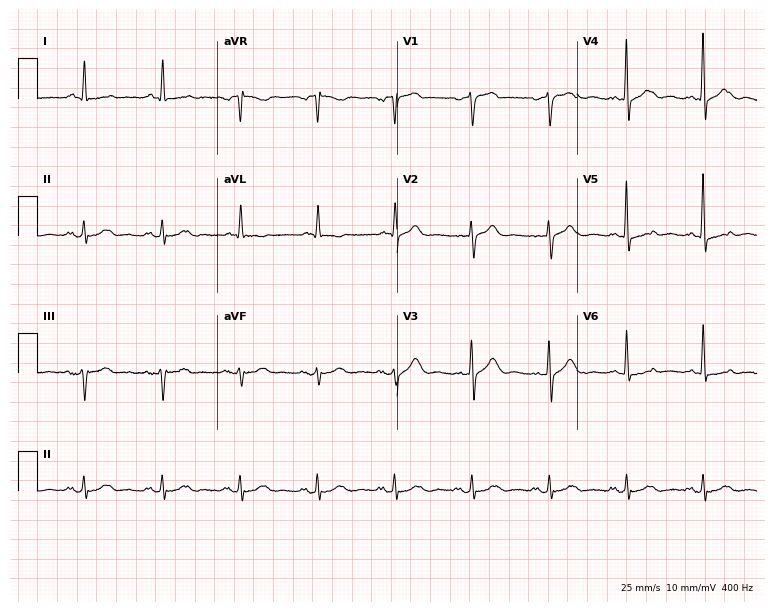
12-lead ECG from an 84-year-old woman. Recorded interpretation: within normal limits.